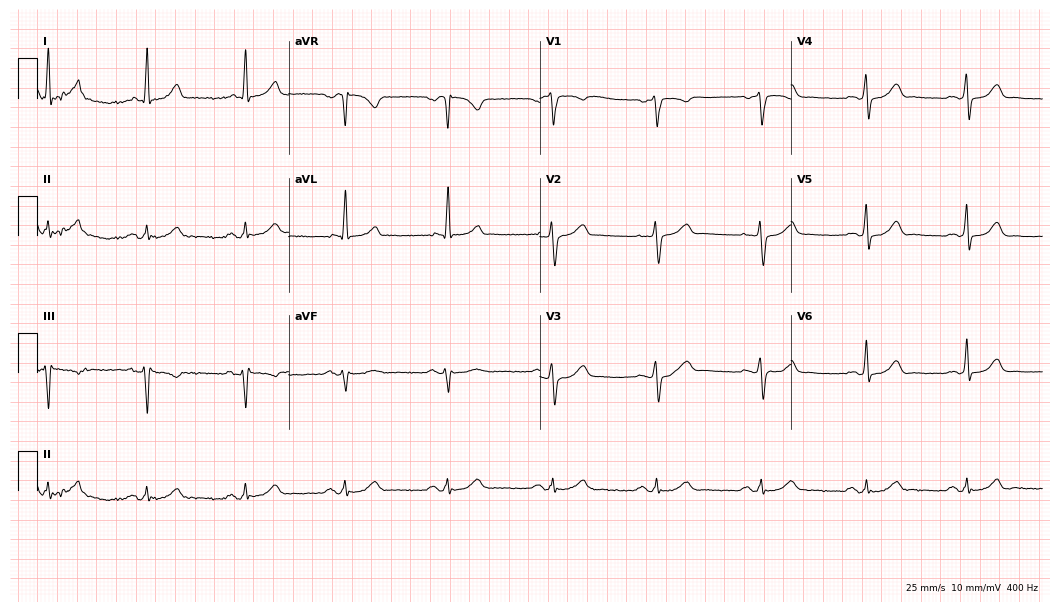
12-lead ECG from a male patient, 62 years old. Screened for six findings — first-degree AV block, right bundle branch block, left bundle branch block, sinus bradycardia, atrial fibrillation, sinus tachycardia — none is recorded. Other findings, if any, are not listed.